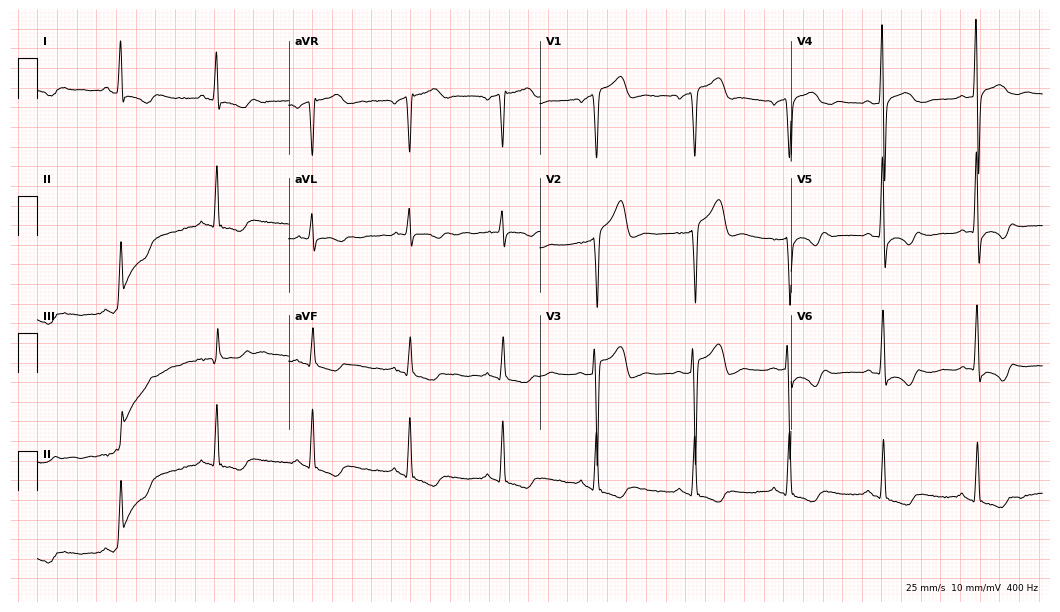
ECG — a male patient, 55 years old. Screened for six findings — first-degree AV block, right bundle branch block, left bundle branch block, sinus bradycardia, atrial fibrillation, sinus tachycardia — none is recorded. Findings outside these six are not listed.